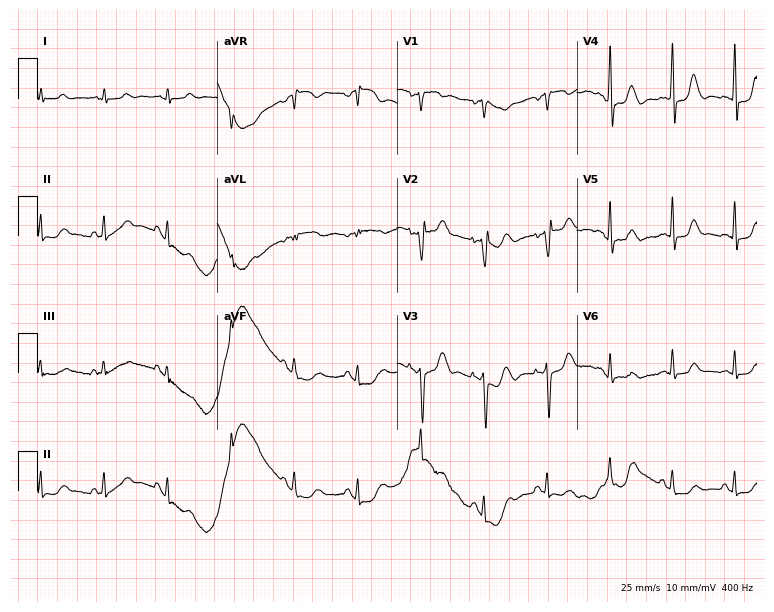
12-lead ECG from a female patient, 62 years old. No first-degree AV block, right bundle branch block, left bundle branch block, sinus bradycardia, atrial fibrillation or sinus tachycardia recorded for this tracing.